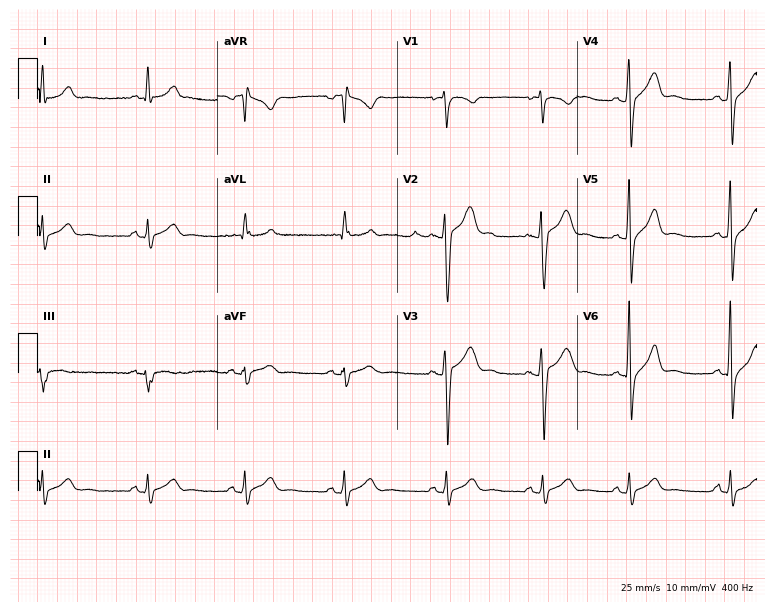
Standard 12-lead ECG recorded from a male patient, 23 years old (7.3-second recording at 400 Hz). Read as a normal ECG.